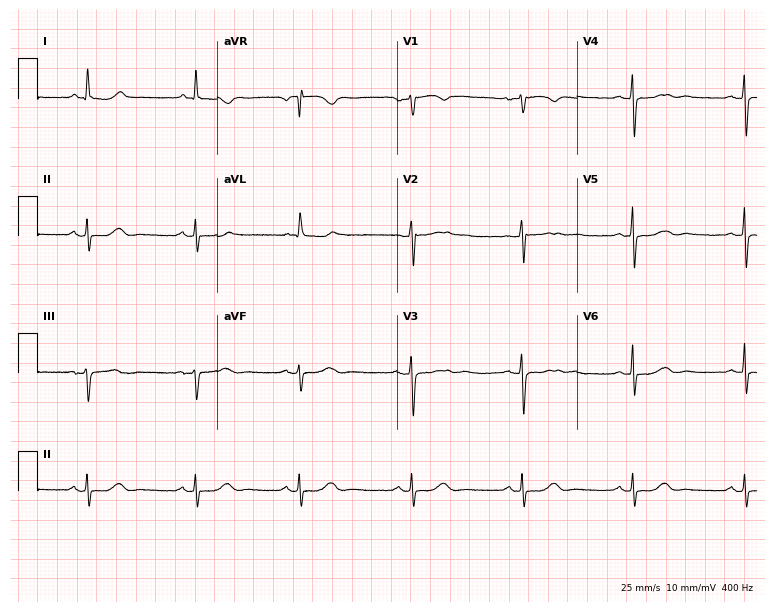
12-lead ECG from a woman, 50 years old (7.3-second recording at 400 Hz). Recorded interpretation: within normal limits.